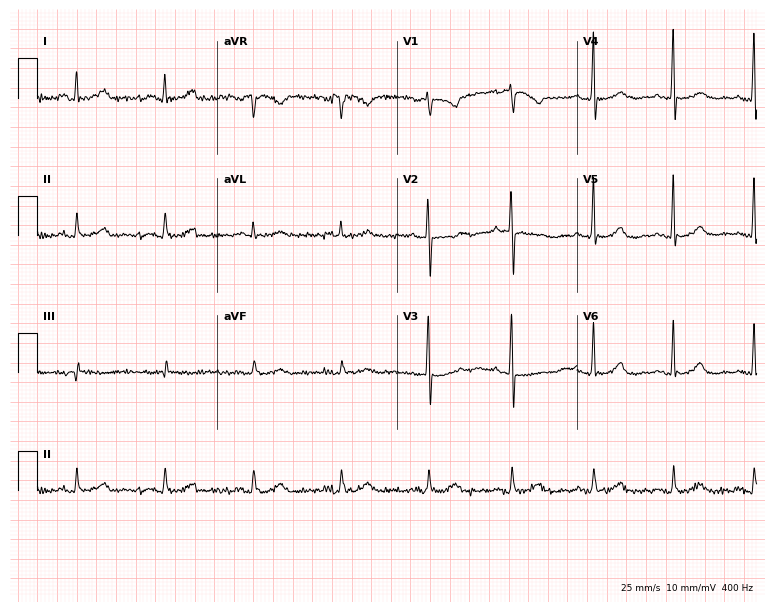
ECG (7.3-second recording at 400 Hz) — a 69-year-old male. Screened for six findings — first-degree AV block, right bundle branch block, left bundle branch block, sinus bradycardia, atrial fibrillation, sinus tachycardia — none is recorded. Findings outside these six are not listed.